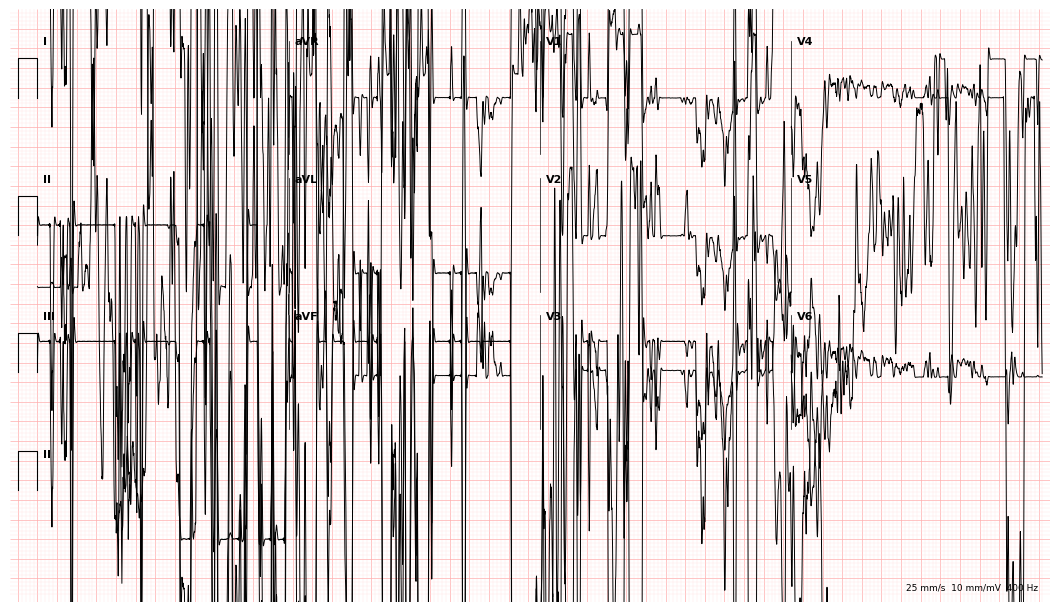
12-lead ECG from a male, 78 years old. Screened for six findings — first-degree AV block, right bundle branch block (RBBB), left bundle branch block (LBBB), sinus bradycardia, atrial fibrillation (AF), sinus tachycardia — none is recorded. Only these six findings were labelled.